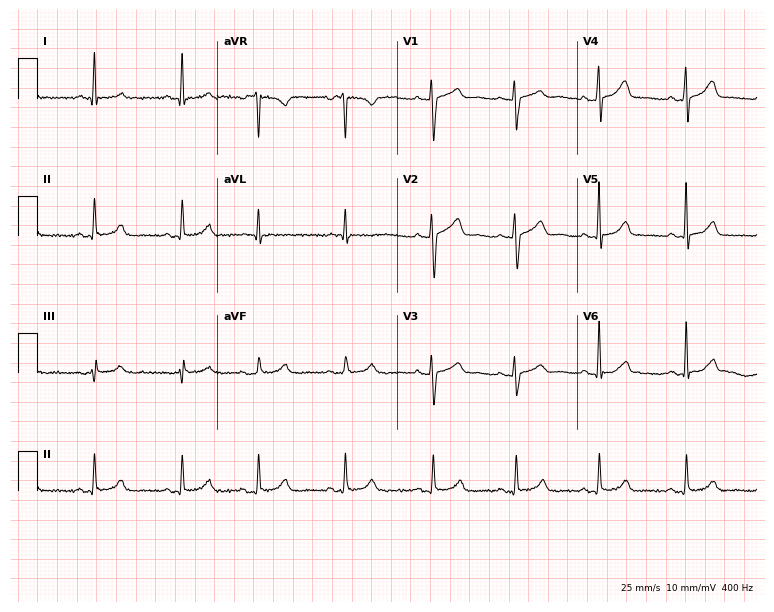
12-lead ECG from a female, 38 years old (7.3-second recording at 400 Hz). Recorded interpretation: within normal limits.